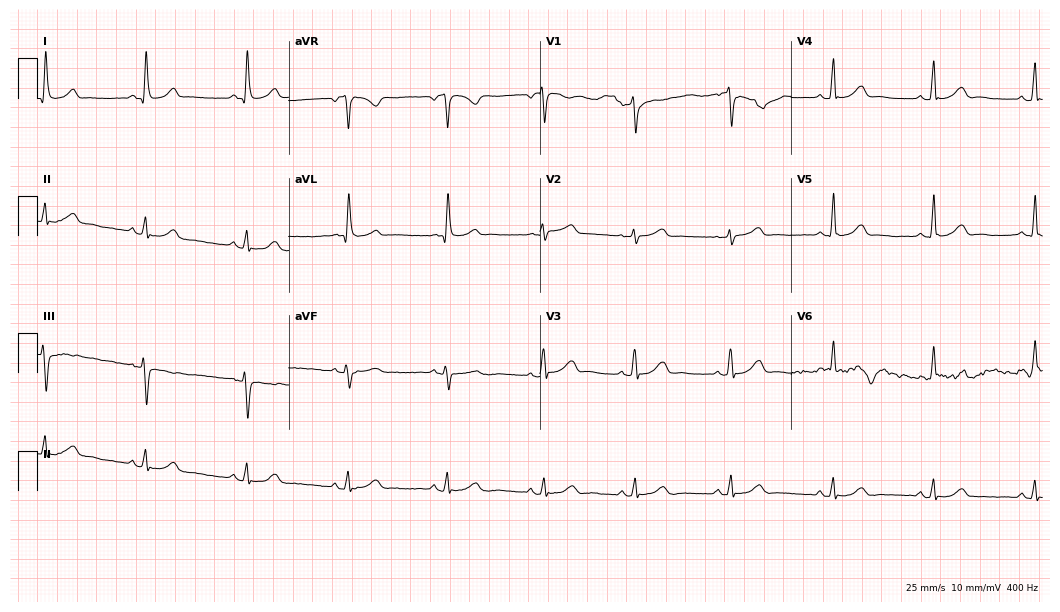
Electrocardiogram, a 50-year-old female. Overall reading on record: normal ECG.